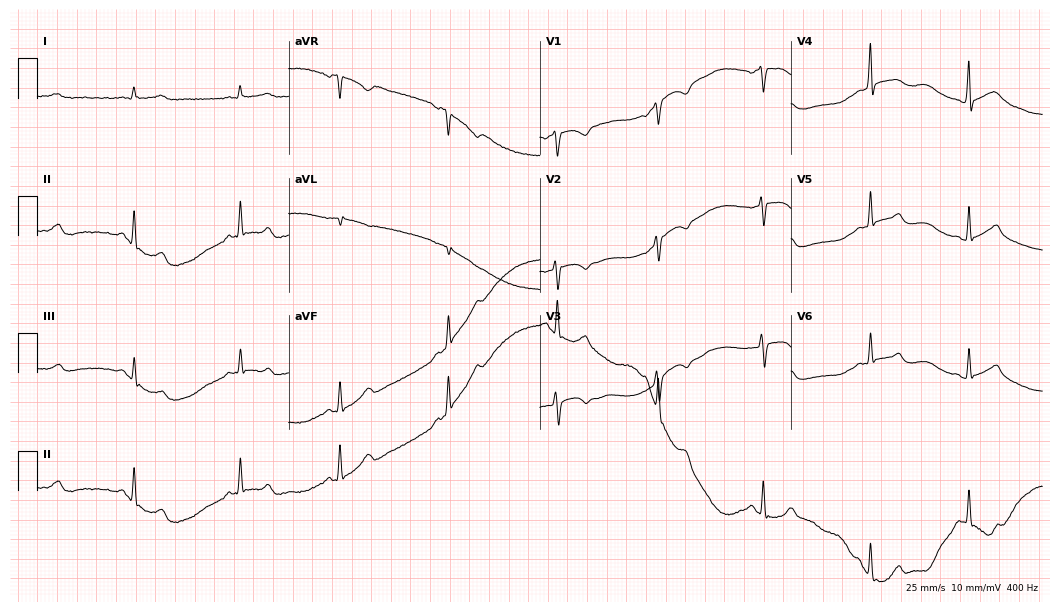
Electrocardiogram, a female patient, 34 years old. Overall reading on record: normal ECG.